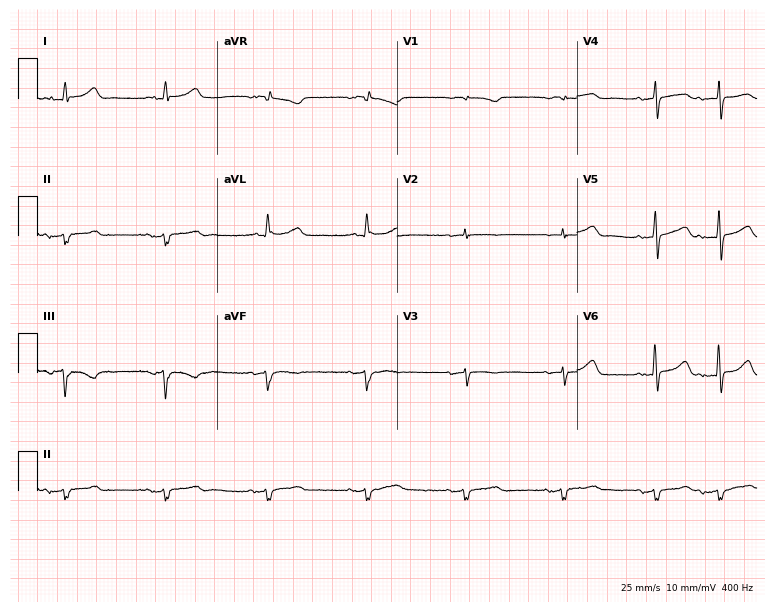
12-lead ECG from an 81-year-old woman. Screened for six findings — first-degree AV block, right bundle branch block, left bundle branch block, sinus bradycardia, atrial fibrillation, sinus tachycardia — none is recorded.